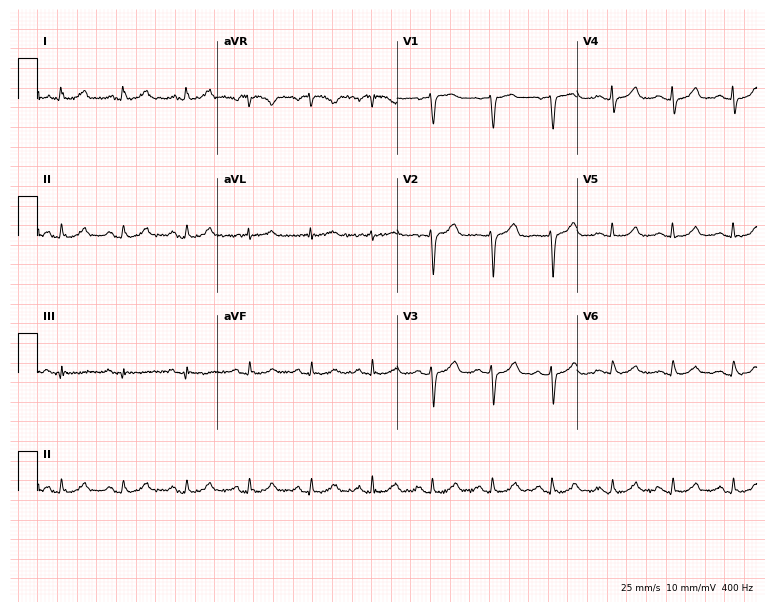
ECG — a female, 55 years old. Screened for six findings — first-degree AV block, right bundle branch block, left bundle branch block, sinus bradycardia, atrial fibrillation, sinus tachycardia — none is recorded.